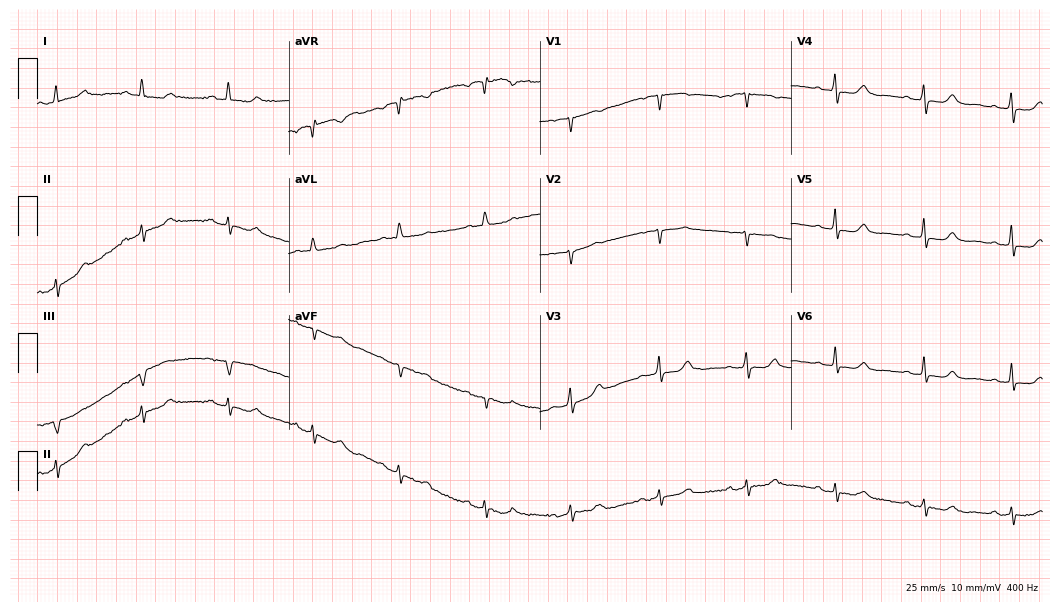
Electrocardiogram, an 84-year-old woman. Of the six screened findings (first-degree AV block, right bundle branch block (RBBB), left bundle branch block (LBBB), sinus bradycardia, atrial fibrillation (AF), sinus tachycardia), none is recorded.